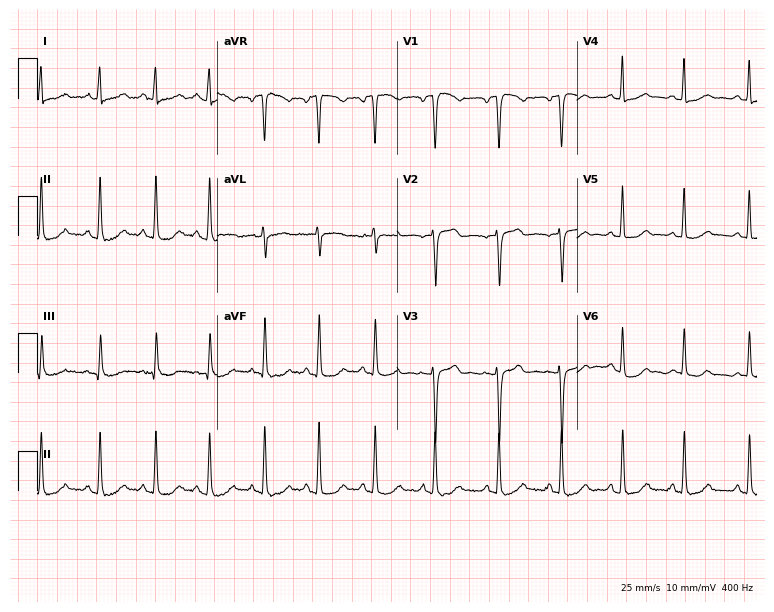
12-lead ECG from a woman, 27 years old (7.3-second recording at 400 Hz). No first-degree AV block, right bundle branch block, left bundle branch block, sinus bradycardia, atrial fibrillation or sinus tachycardia recorded for this tracing.